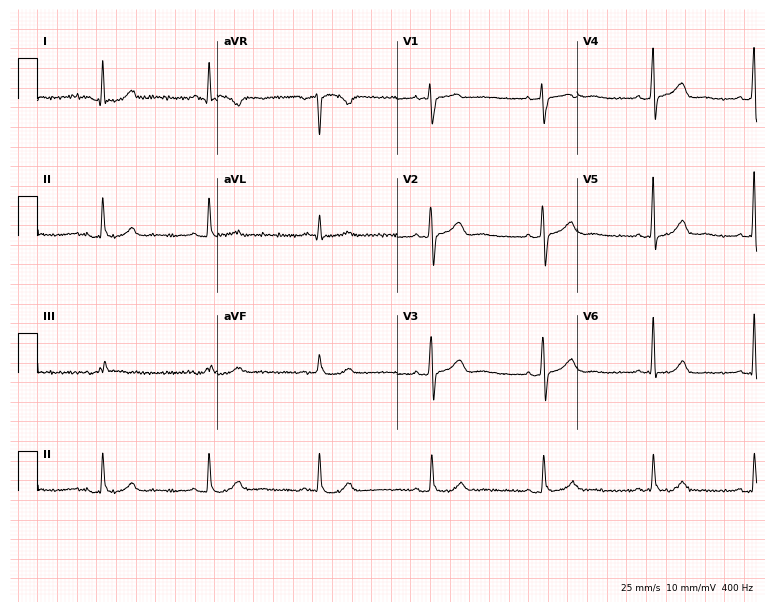
12-lead ECG (7.3-second recording at 400 Hz) from a female, 52 years old. Screened for six findings — first-degree AV block, right bundle branch block, left bundle branch block, sinus bradycardia, atrial fibrillation, sinus tachycardia — none is recorded.